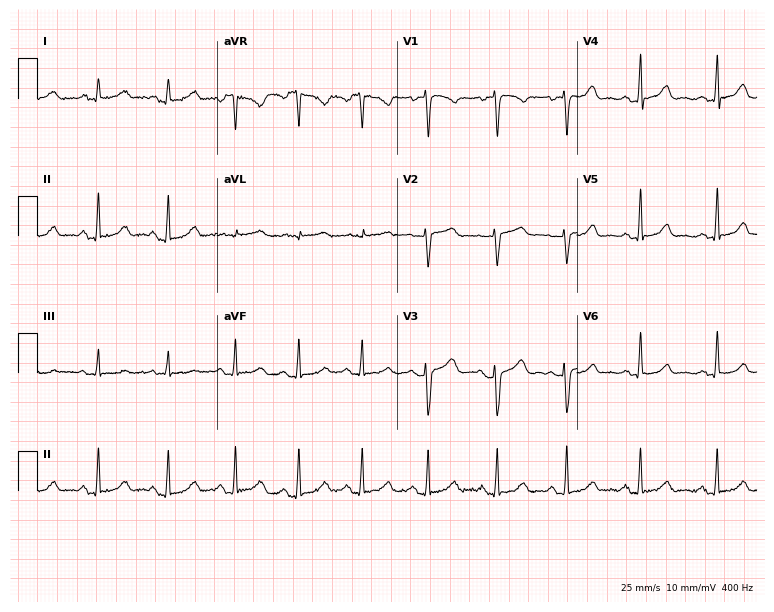
Resting 12-lead electrocardiogram (7.3-second recording at 400 Hz). Patient: a female, 34 years old. Read as a normal ECG.